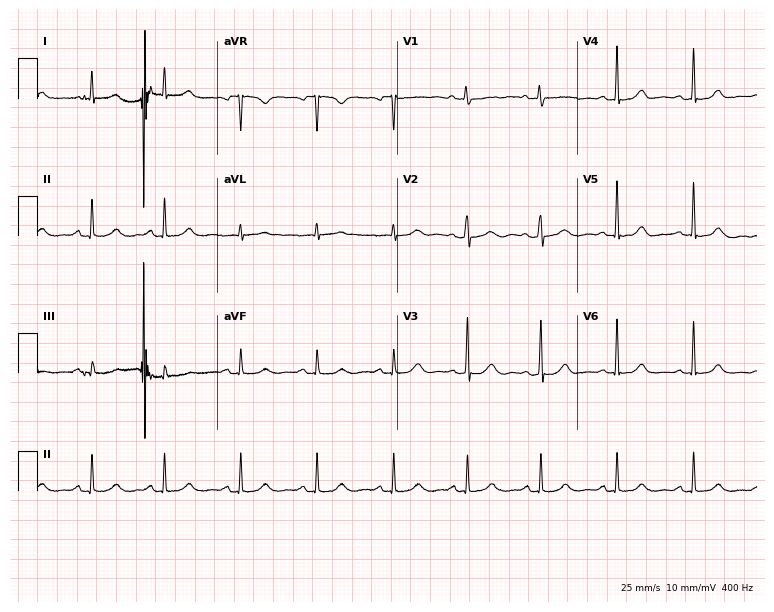
ECG (7.3-second recording at 400 Hz) — a 52-year-old female patient. Labelled as a normal ECG.